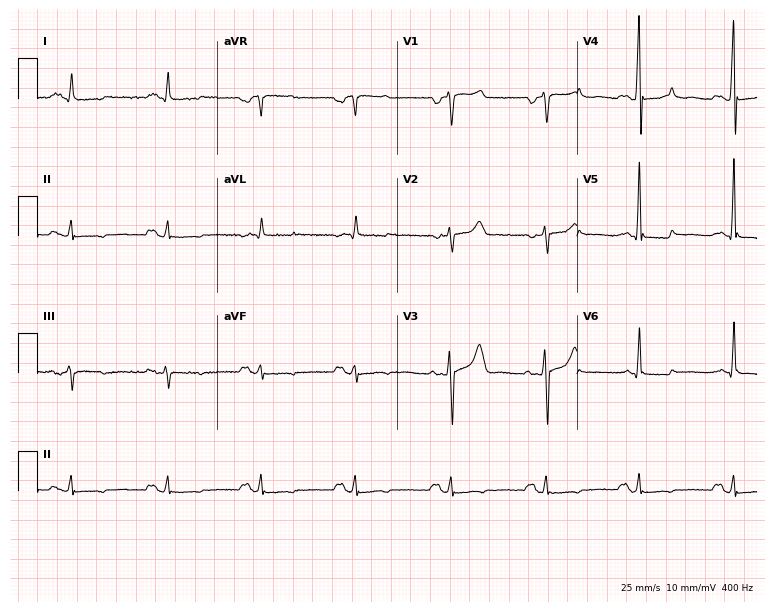
Electrocardiogram, a male patient, 45 years old. Of the six screened findings (first-degree AV block, right bundle branch block, left bundle branch block, sinus bradycardia, atrial fibrillation, sinus tachycardia), none is recorded.